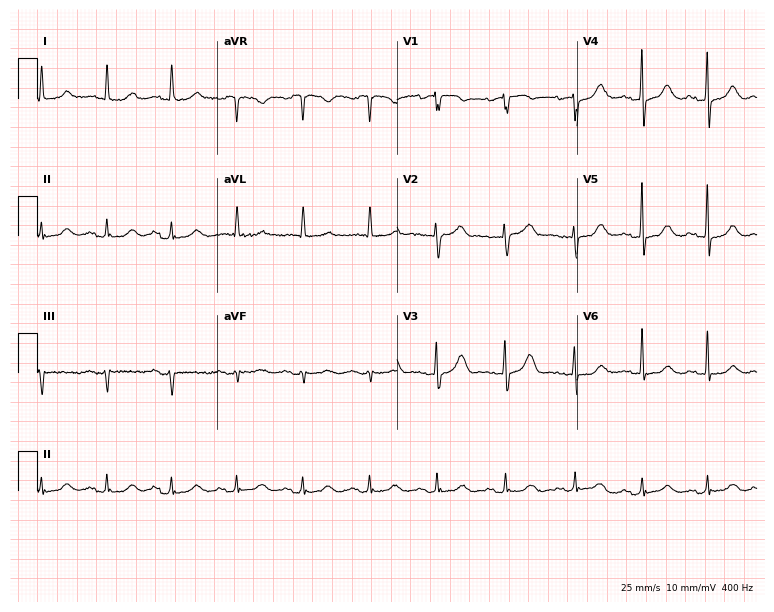
Electrocardiogram, an 82-year-old woman. Overall reading on record: normal ECG.